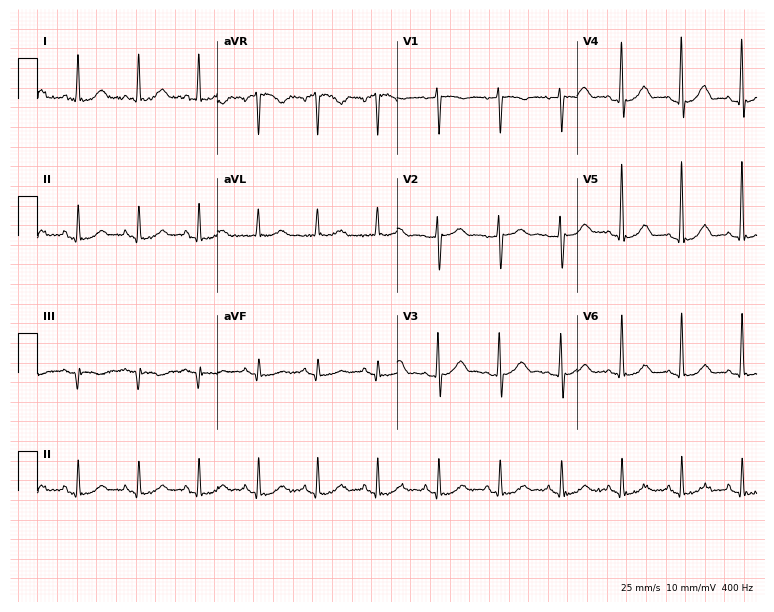
Electrocardiogram, a woman, 54 years old. Of the six screened findings (first-degree AV block, right bundle branch block (RBBB), left bundle branch block (LBBB), sinus bradycardia, atrial fibrillation (AF), sinus tachycardia), none is recorded.